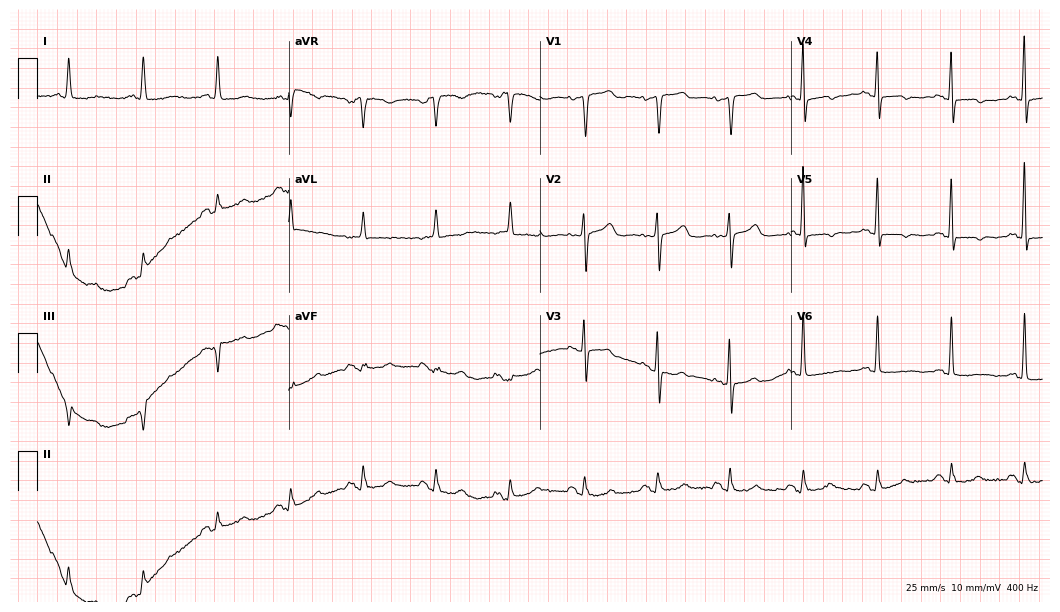
12-lead ECG from a female patient, 89 years old (10.2-second recording at 400 Hz). No first-degree AV block, right bundle branch block, left bundle branch block, sinus bradycardia, atrial fibrillation or sinus tachycardia recorded for this tracing. Findings outside these six are not listed.